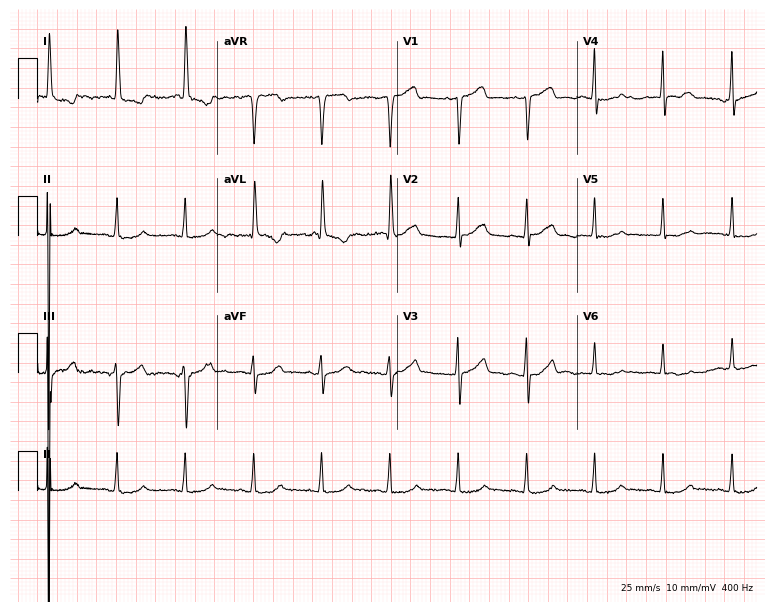
Resting 12-lead electrocardiogram. Patient: a woman, 72 years old. Read as a normal ECG.